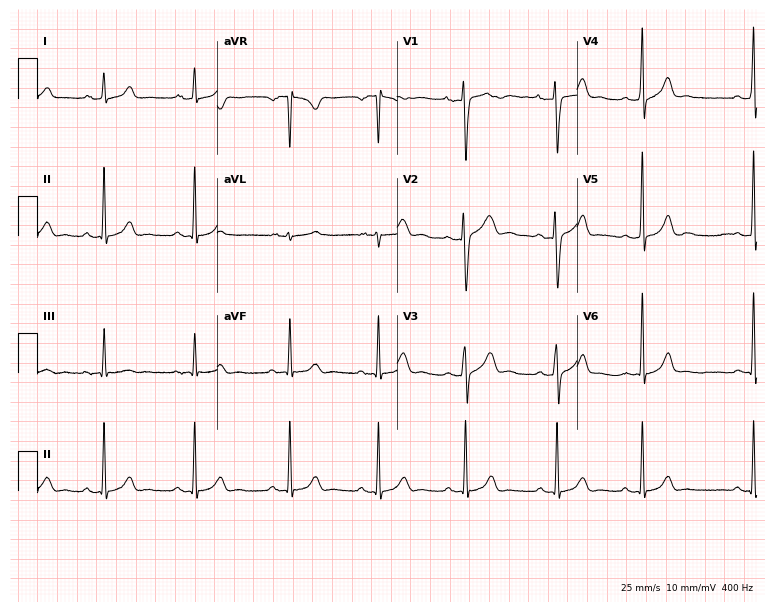
Electrocardiogram, a female patient, 23 years old. Overall reading on record: normal ECG.